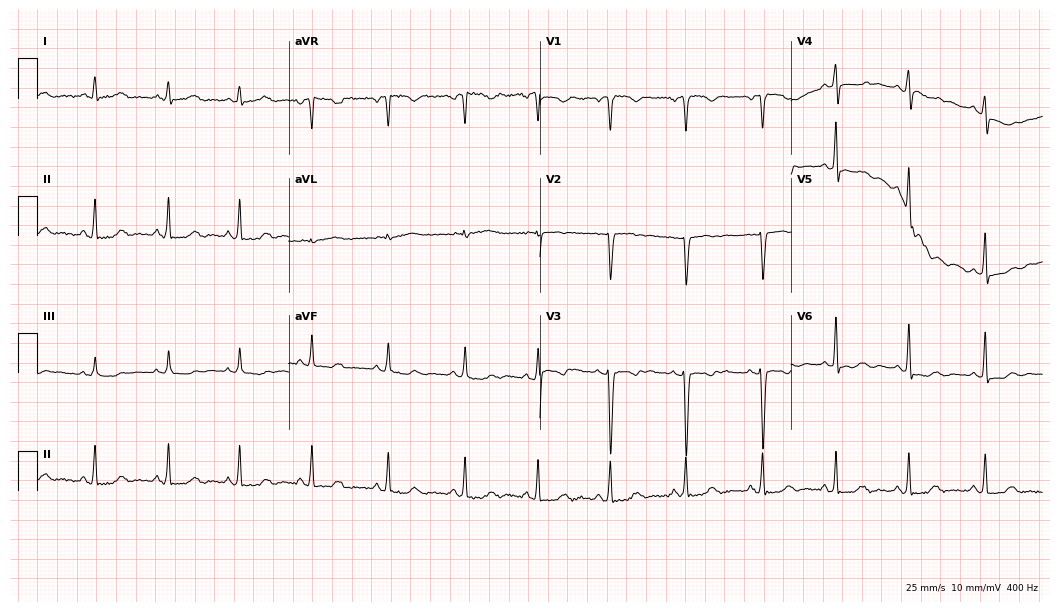
Resting 12-lead electrocardiogram. Patient: a woman, 33 years old. None of these six findings is recorded: first-degree AV block, right bundle branch block, left bundle branch block, sinus bradycardia, atrial fibrillation, sinus tachycardia.